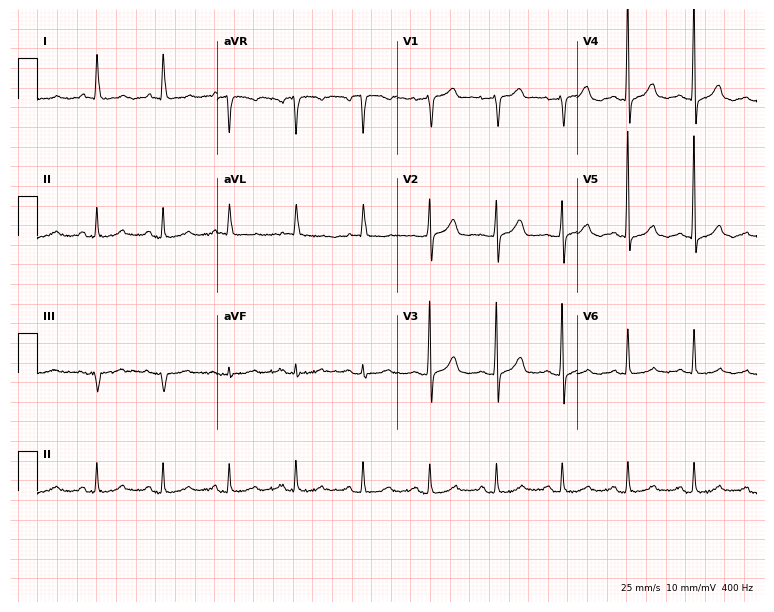
Electrocardiogram, a female patient, 63 years old. Of the six screened findings (first-degree AV block, right bundle branch block, left bundle branch block, sinus bradycardia, atrial fibrillation, sinus tachycardia), none is recorded.